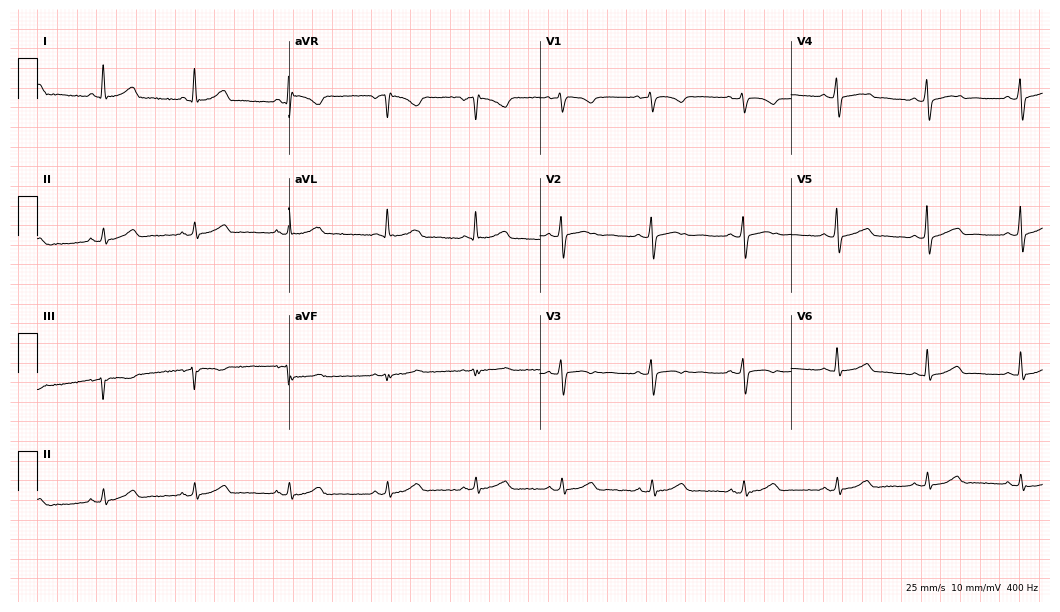
Resting 12-lead electrocardiogram (10.2-second recording at 400 Hz). Patient: a 49-year-old female. Read as a normal ECG.